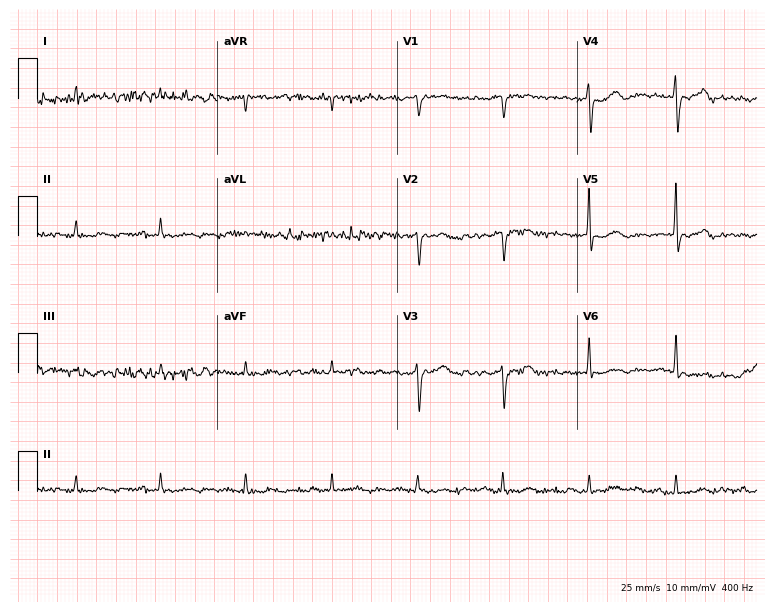
Standard 12-lead ECG recorded from an 80-year-old male patient (7.3-second recording at 400 Hz). None of these six findings is recorded: first-degree AV block, right bundle branch block (RBBB), left bundle branch block (LBBB), sinus bradycardia, atrial fibrillation (AF), sinus tachycardia.